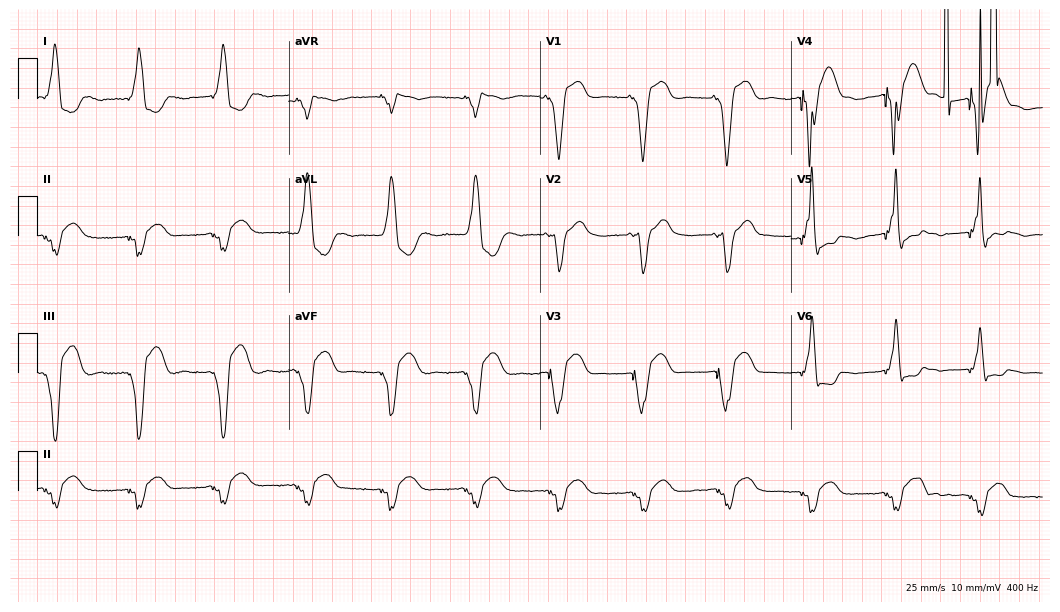
Electrocardiogram, an 83-year-old man. Of the six screened findings (first-degree AV block, right bundle branch block, left bundle branch block, sinus bradycardia, atrial fibrillation, sinus tachycardia), none is recorded.